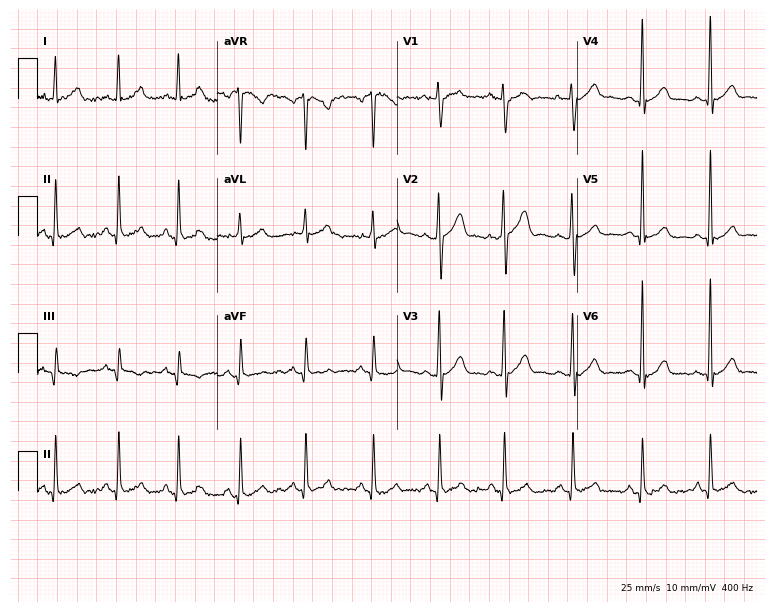
Resting 12-lead electrocardiogram (7.3-second recording at 400 Hz). Patient: a male, 21 years old. None of these six findings is recorded: first-degree AV block, right bundle branch block, left bundle branch block, sinus bradycardia, atrial fibrillation, sinus tachycardia.